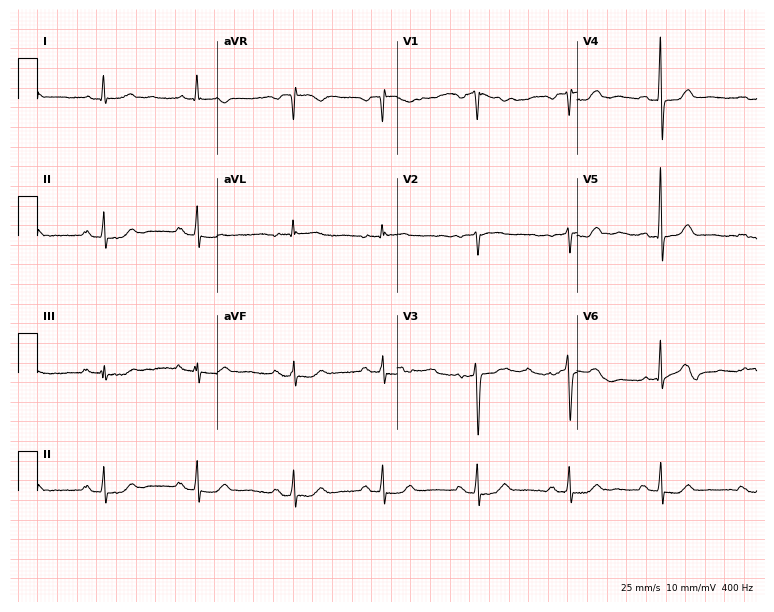
12-lead ECG from a female, 71 years old. No first-degree AV block, right bundle branch block, left bundle branch block, sinus bradycardia, atrial fibrillation or sinus tachycardia recorded for this tracing. Only these six findings were labelled.